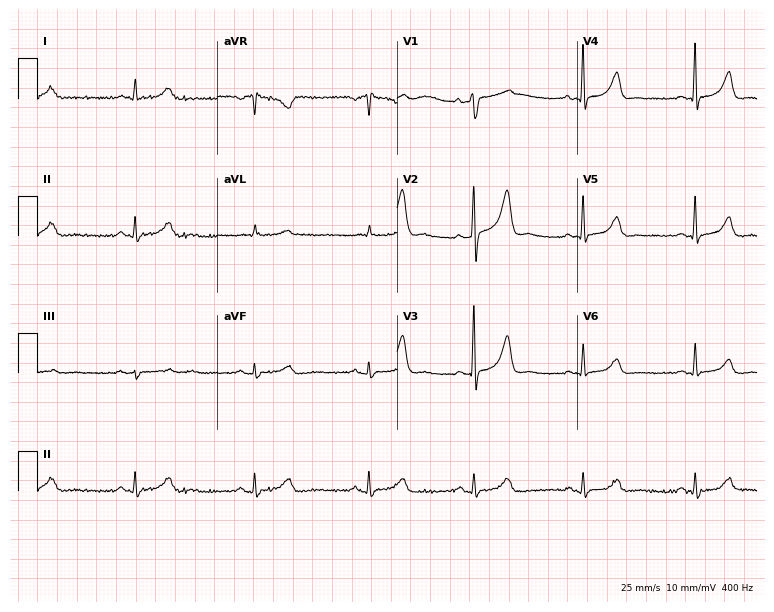
Standard 12-lead ECG recorded from a male, 72 years old. Read as a normal ECG.